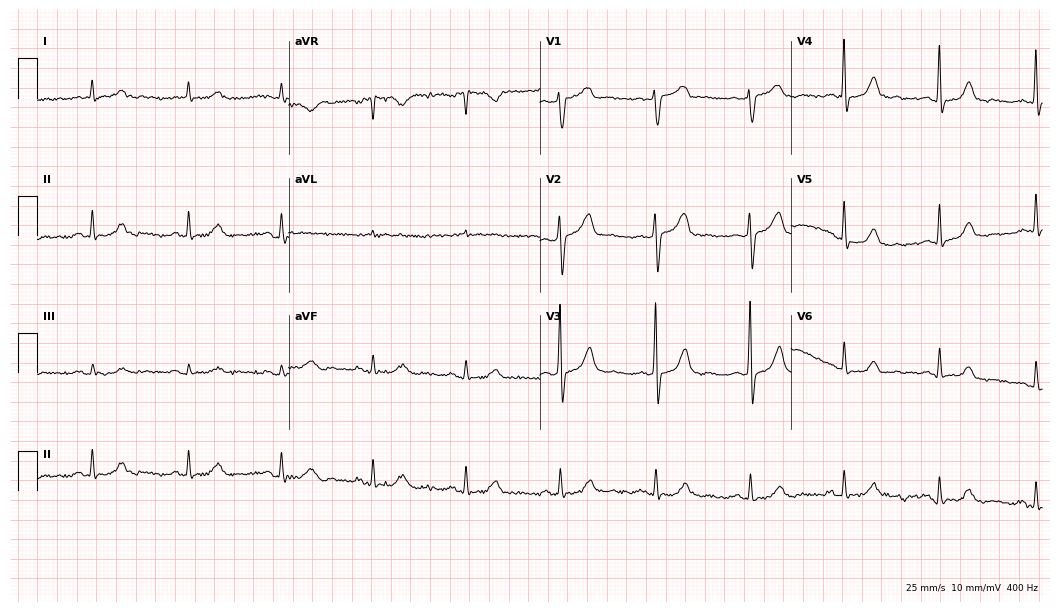
Standard 12-lead ECG recorded from a male patient, 61 years old. None of these six findings is recorded: first-degree AV block, right bundle branch block, left bundle branch block, sinus bradycardia, atrial fibrillation, sinus tachycardia. Other findings, if any, are not listed.